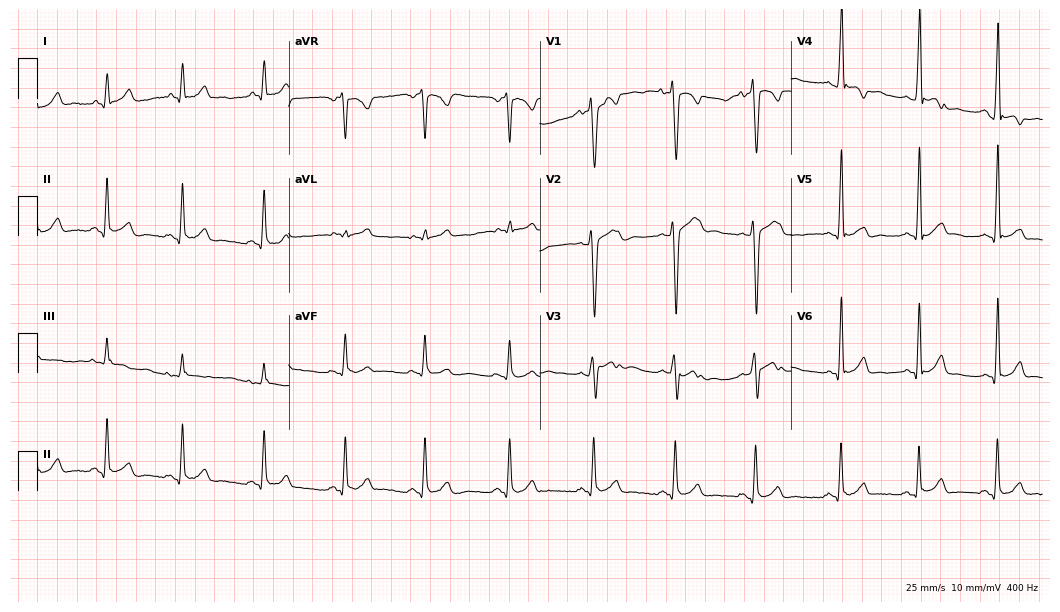
ECG (10.2-second recording at 400 Hz) — a 19-year-old female patient. Screened for six findings — first-degree AV block, right bundle branch block, left bundle branch block, sinus bradycardia, atrial fibrillation, sinus tachycardia — none is recorded. Other findings, if any, are not listed.